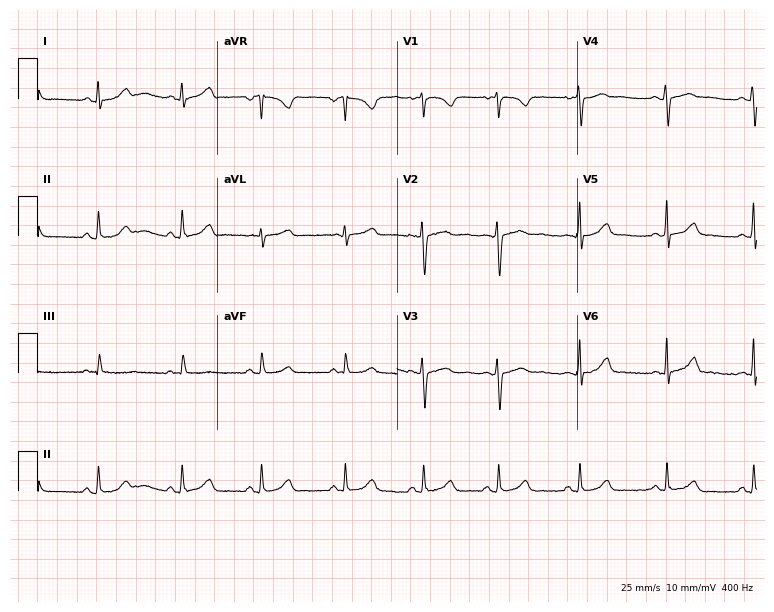
12-lead ECG from a female patient, 30 years old. Recorded interpretation: within normal limits.